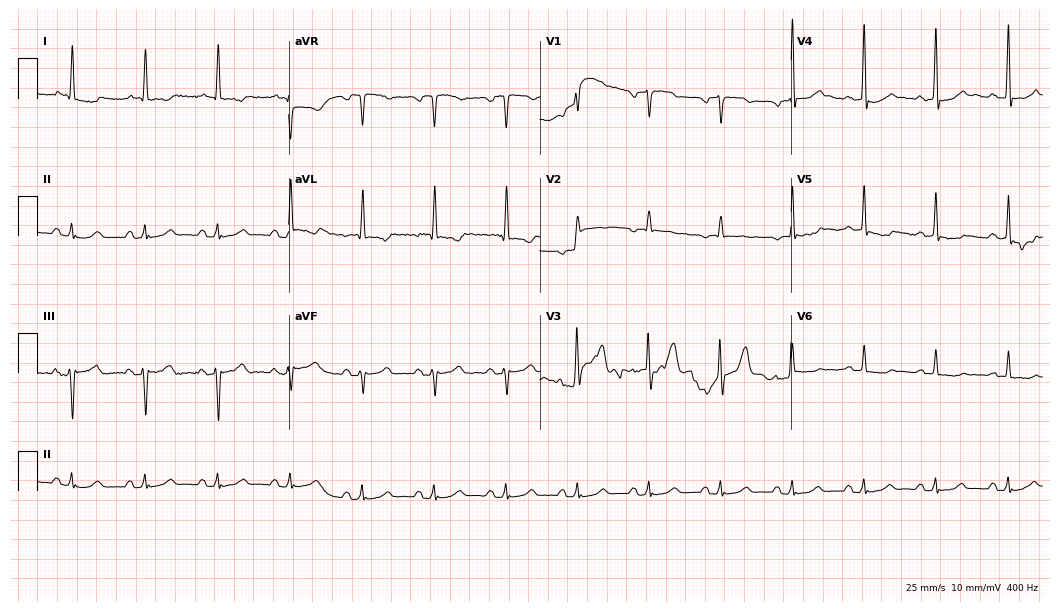
Standard 12-lead ECG recorded from a 68-year-old male patient (10.2-second recording at 400 Hz). None of these six findings is recorded: first-degree AV block, right bundle branch block (RBBB), left bundle branch block (LBBB), sinus bradycardia, atrial fibrillation (AF), sinus tachycardia.